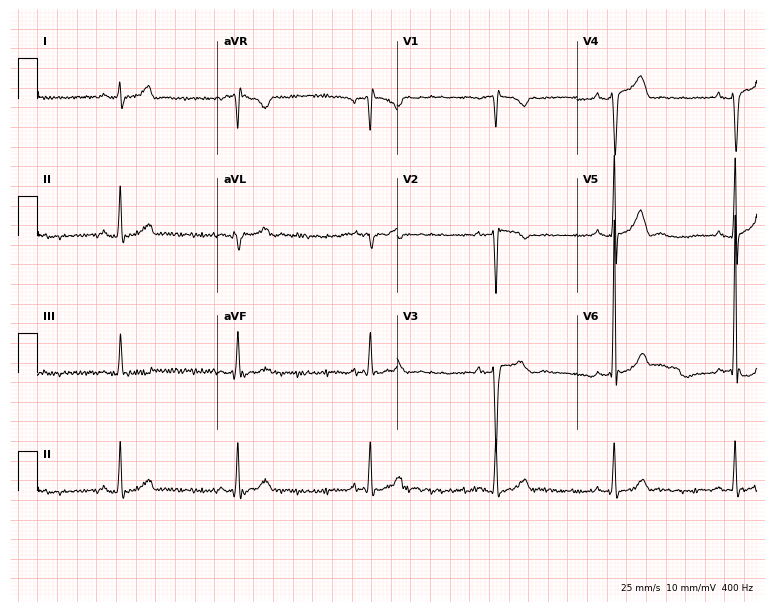
Resting 12-lead electrocardiogram (7.3-second recording at 400 Hz). Patient: a 24-year-old male. None of these six findings is recorded: first-degree AV block, right bundle branch block (RBBB), left bundle branch block (LBBB), sinus bradycardia, atrial fibrillation (AF), sinus tachycardia.